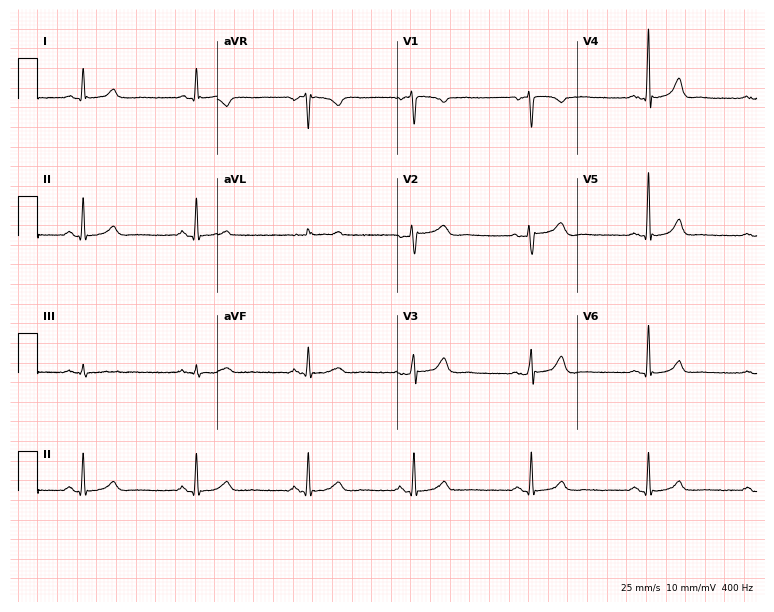
ECG (7.3-second recording at 400 Hz) — a 48-year-old woman. Screened for six findings — first-degree AV block, right bundle branch block, left bundle branch block, sinus bradycardia, atrial fibrillation, sinus tachycardia — none is recorded. Only these six findings were labelled.